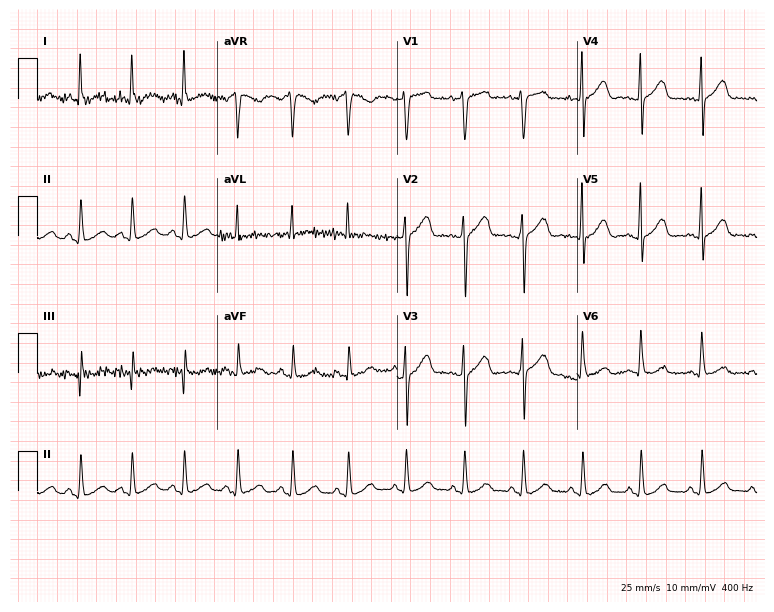
Standard 12-lead ECG recorded from a woman, 50 years old (7.3-second recording at 400 Hz). None of these six findings is recorded: first-degree AV block, right bundle branch block, left bundle branch block, sinus bradycardia, atrial fibrillation, sinus tachycardia. Only these six findings were labelled.